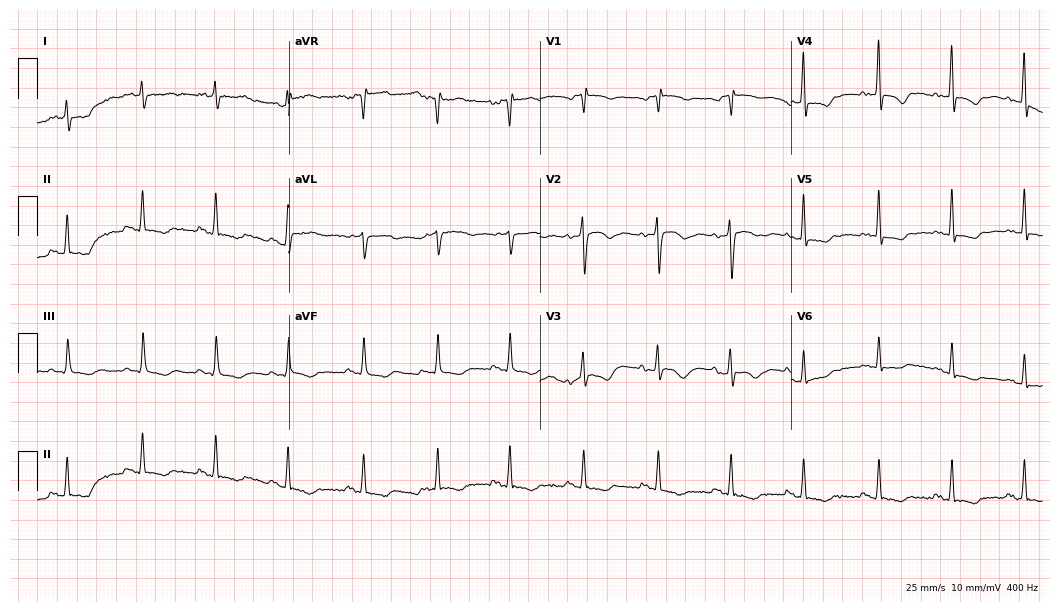
12-lead ECG from a 70-year-old male. Screened for six findings — first-degree AV block, right bundle branch block, left bundle branch block, sinus bradycardia, atrial fibrillation, sinus tachycardia — none is recorded.